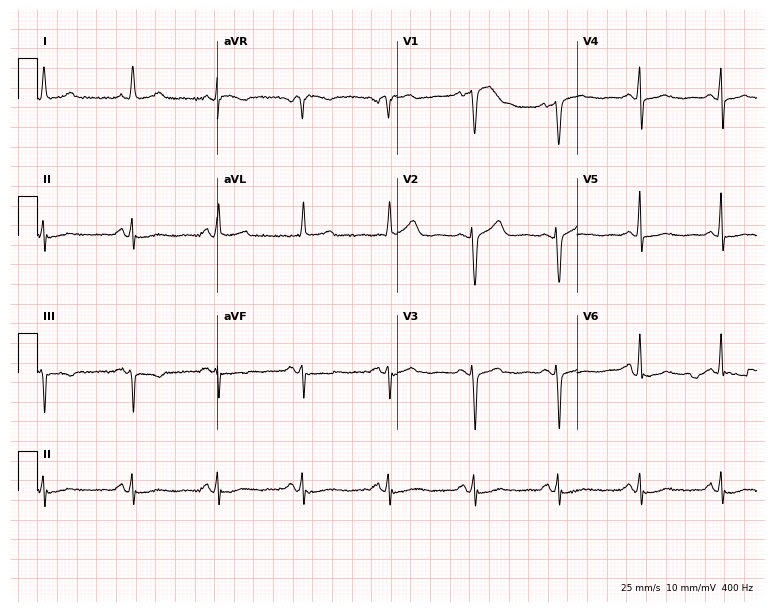
ECG — a female patient, 61 years old. Screened for six findings — first-degree AV block, right bundle branch block, left bundle branch block, sinus bradycardia, atrial fibrillation, sinus tachycardia — none is recorded. Only these six findings were labelled.